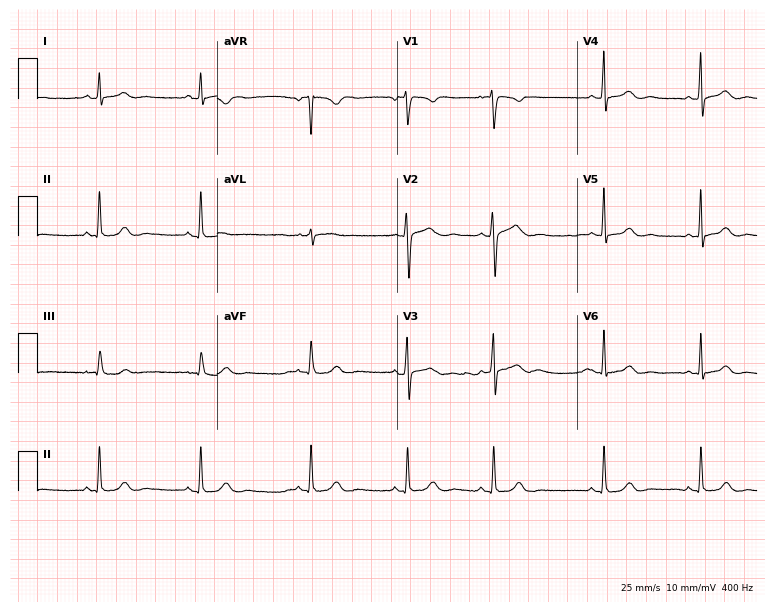
Electrocardiogram, a 40-year-old female. Of the six screened findings (first-degree AV block, right bundle branch block, left bundle branch block, sinus bradycardia, atrial fibrillation, sinus tachycardia), none is recorded. Other findings, if any, are not listed.